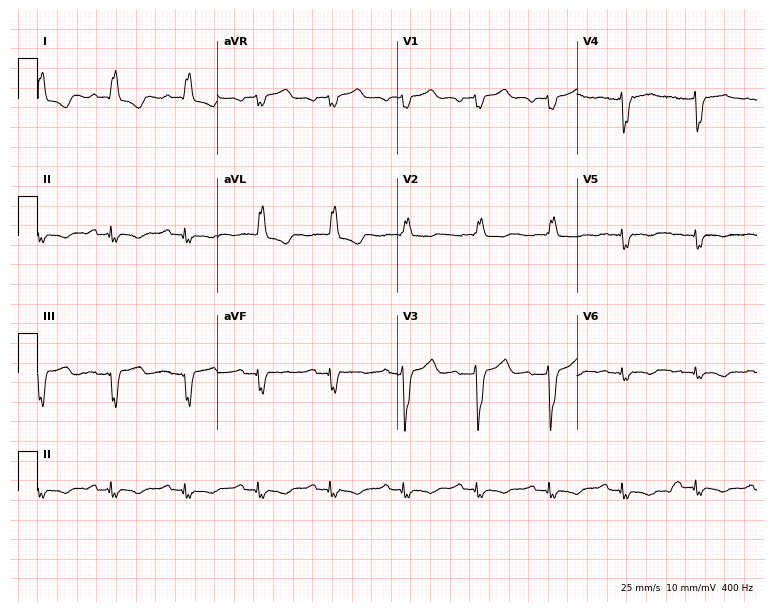
Standard 12-lead ECG recorded from a male, 76 years old (7.3-second recording at 400 Hz). None of these six findings is recorded: first-degree AV block, right bundle branch block (RBBB), left bundle branch block (LBBB), sinus bradycardia, atrial fibrillation (AF), sinus tachycardia. Findings outside these six are not listed.